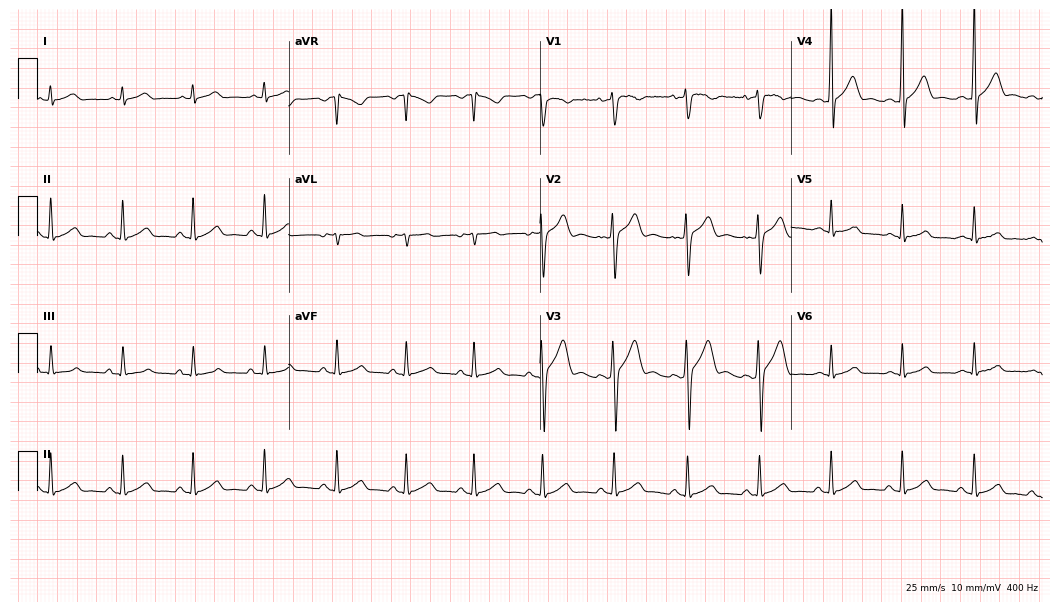
12-lead ECG from a male patient, 21 years old (10.2-second recording at 400 Hz). Recorded interpretation: within normal limits.